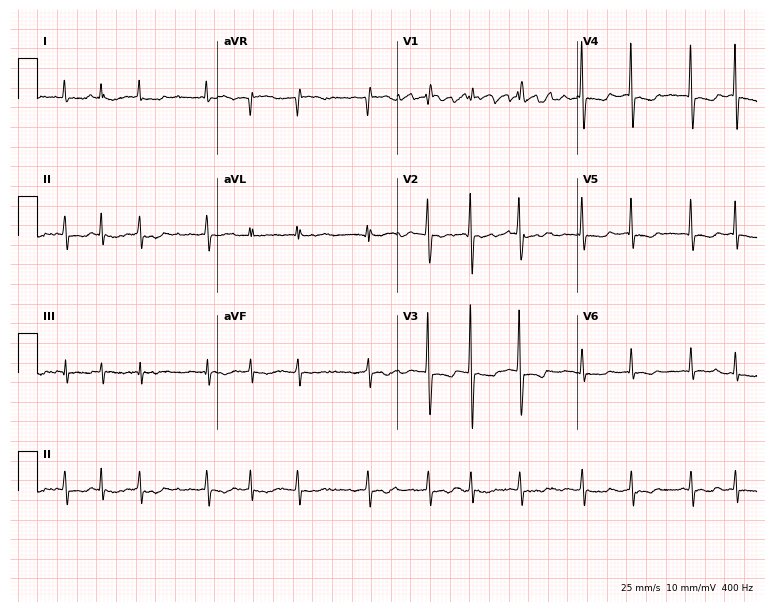
12-lead ECG (7.3-second recording at 400 Hz) from an 82-year-old woman. Findings include atrial fibrillation (AF).